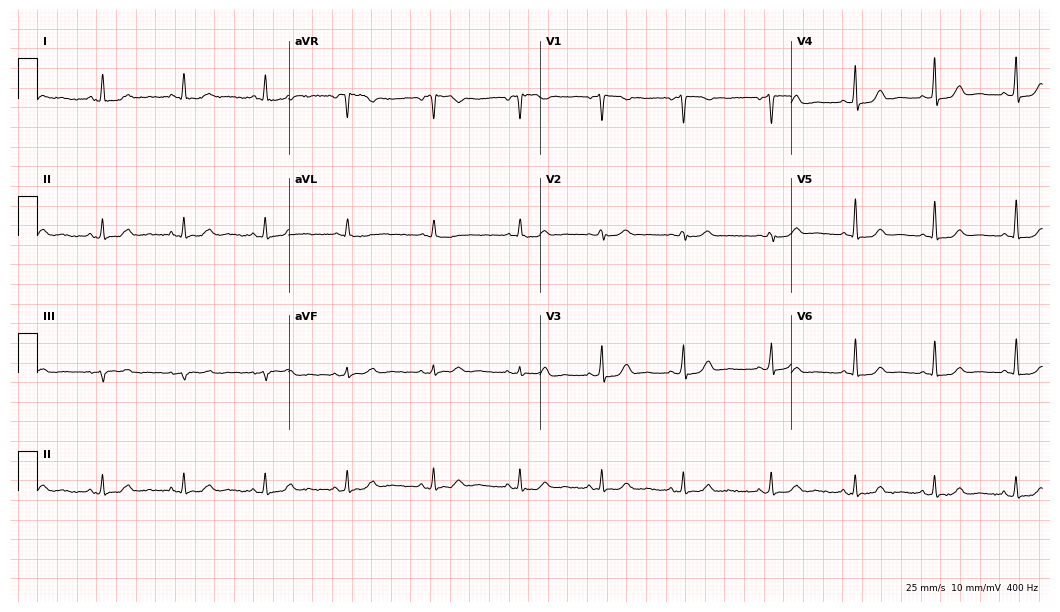
Electrocardiogram, a 40-year-old female. Of the six screened findings (first-degree AV block, right bundle branch block (RBBB), left bundle branch block (LBBB), sinus bradycardia, atrial fibrillation (AF), sinus tachycardia), none is recorded.